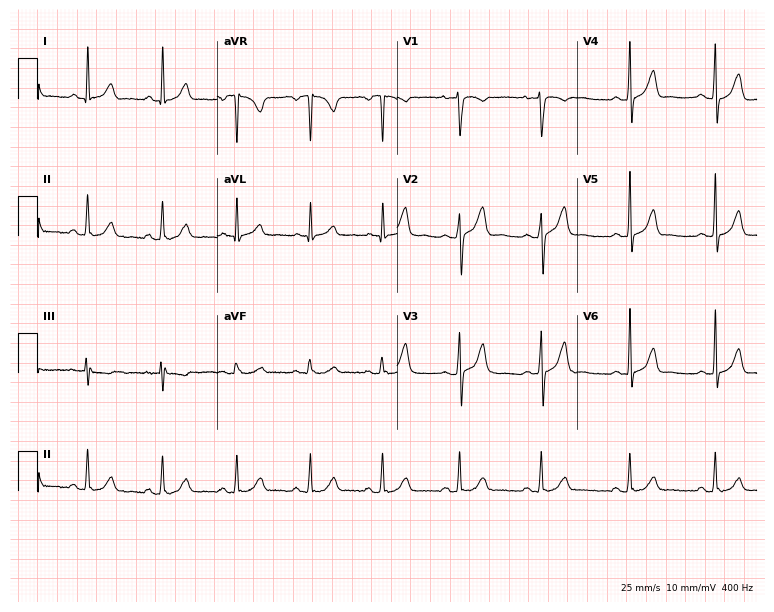
12-lead ECG (7.3-second recording at 400 Hz) from a 22-year-old woman. Screened for six findings — first-degree AV block, right bundle branch block, left bundle branch block, sinus bradycardia, atrial fibrillation, sinus tachycardia — none is recorded.